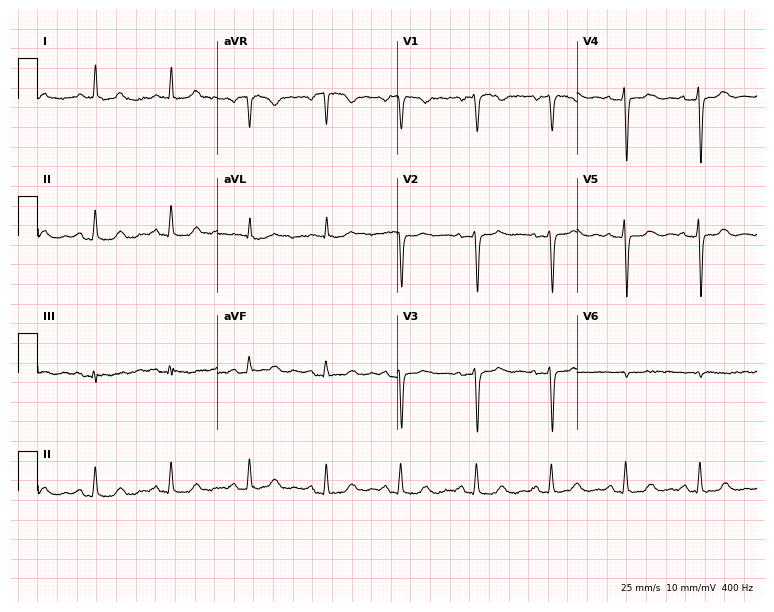
ECG (7.3-second recording at 400 Hz) — a 61-year-old woman. Screened for six findings — first-degree AV block, right bundle branch block, left bundle branch block, sinus bradycardia, atrial fibrillation, sinus tachycardia — none is recorded.